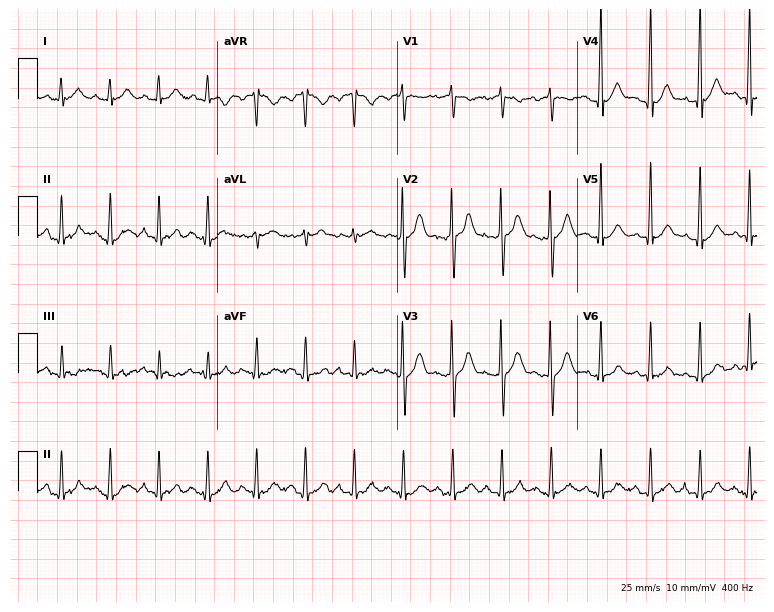
ECG (7.3-second recording at 400 Hz) — a man, 45 years old. Findings include sinus tachycardia (a sinus rate of 100 beats per minute or more).